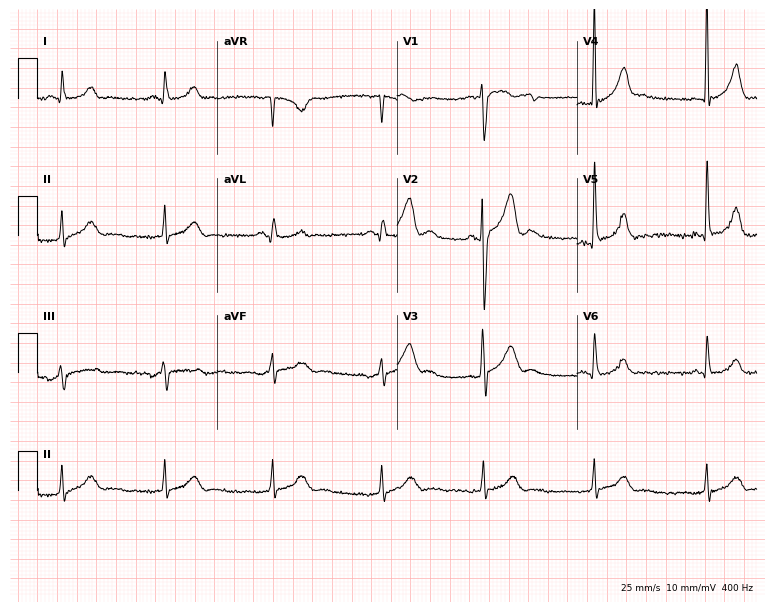
ECG (7.3-second recording at 400 Hz) — a male, 29 years old. Screened for six findings — first-degree AV block, right bundle branch block (RBBB), left bundle branch block (LBBB), sinus bradycardia, atrial fibrillation (AF), sinus tachycardia — none is recorded.